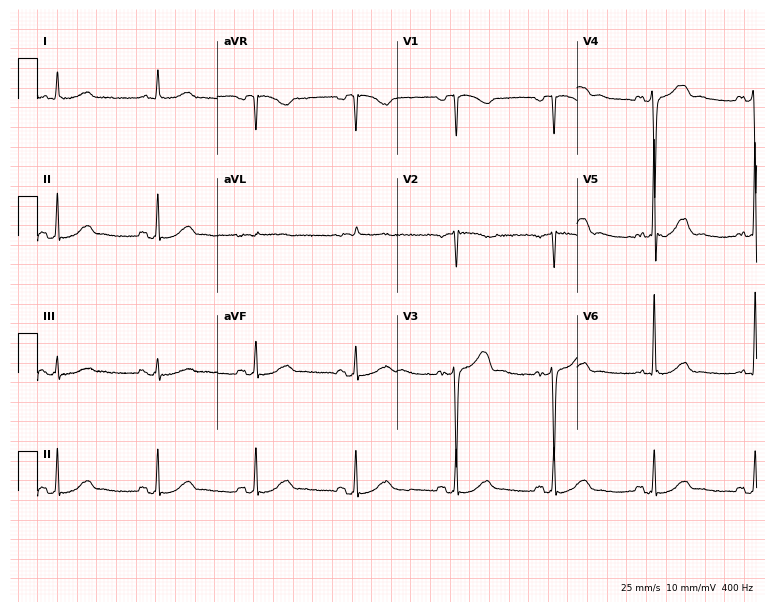
Resting 12-lead electrocardiogram. Patient: a 65-year-old male. None of these six findings is recorded: first-degree AV block, right bundle branch block, left bundle branch block, sinus bradycardia, atrial fibrillation, sinus tachycardia. Other findings, if any, are not listed.